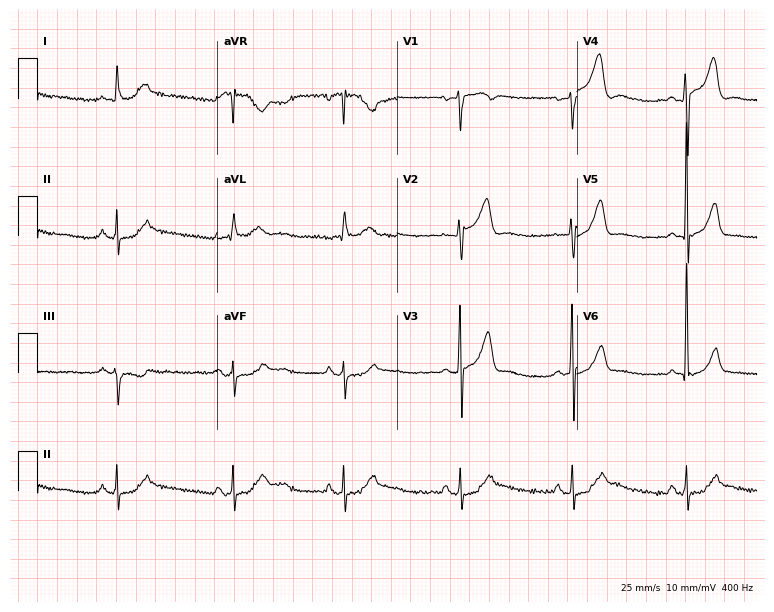
Standard 12-lead ECG recorded from a man, 64 years old. Read as a normal ECG.